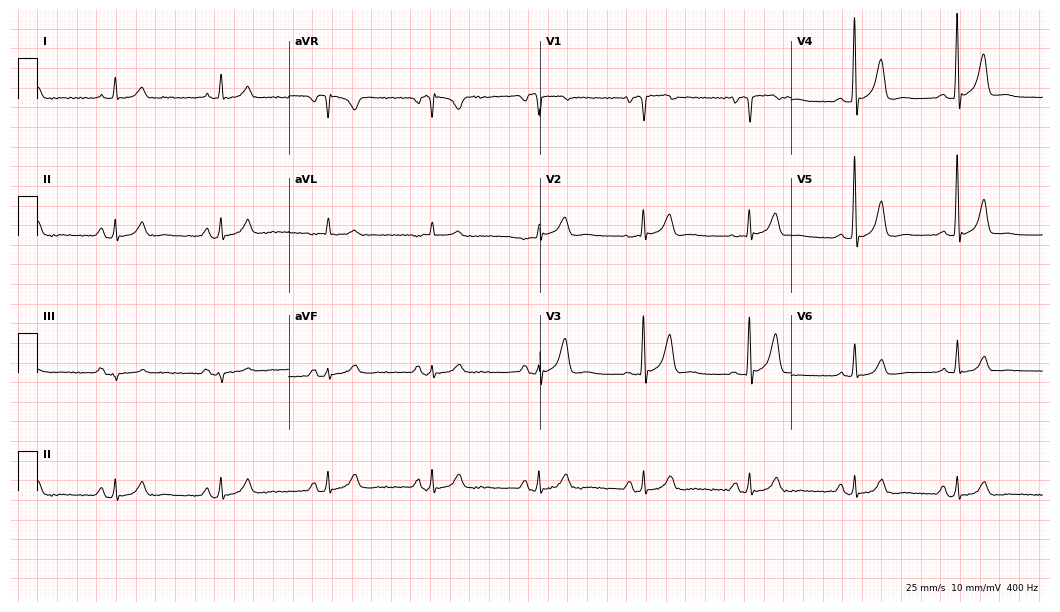
Standard 12-lead ECG recorded from a male, 71 years old (10.2-second recording at 400 Hz). None of these six findings is recorded: first-degree AV block, right bundle branch block, left bundle branch block, sinus bradycardia, atrial fibrillation, sinus tachycardia.